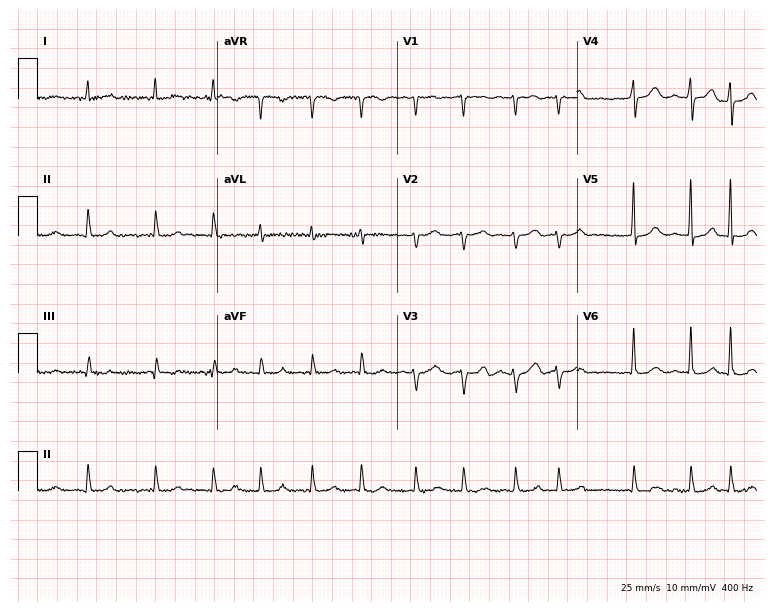
Standard 12-lead ECG recorded from a 76-year-old female patient (7.3-second recording at 400 Hz). The tracing shows atrial fibrillation.